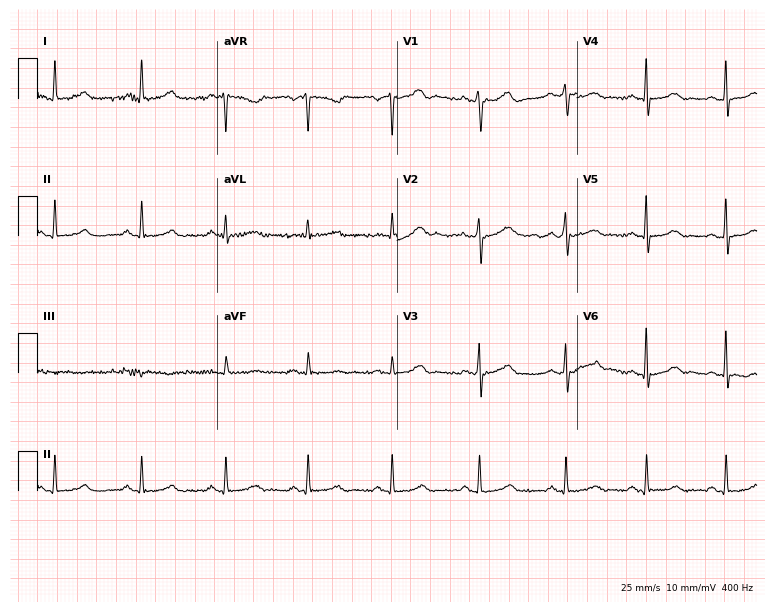
12-lead ECG from a female, 57 years old. Labelled as a normal ECG.